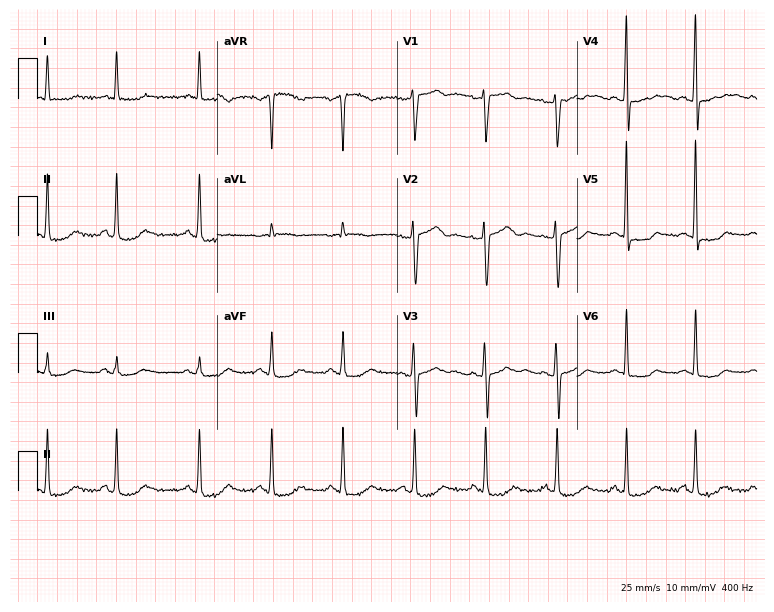
ECG (7.3-second recording at 400 Hz) — a female patient, 55 years old. Screened for six findings — first-degree AV block, right bundle branch block (RBBB), left bundle branch block (LBBB), sinus bradycardia, atrial fibrillation (AF), sinus tachycardia — none is recorded. Only these six findings were labelled.